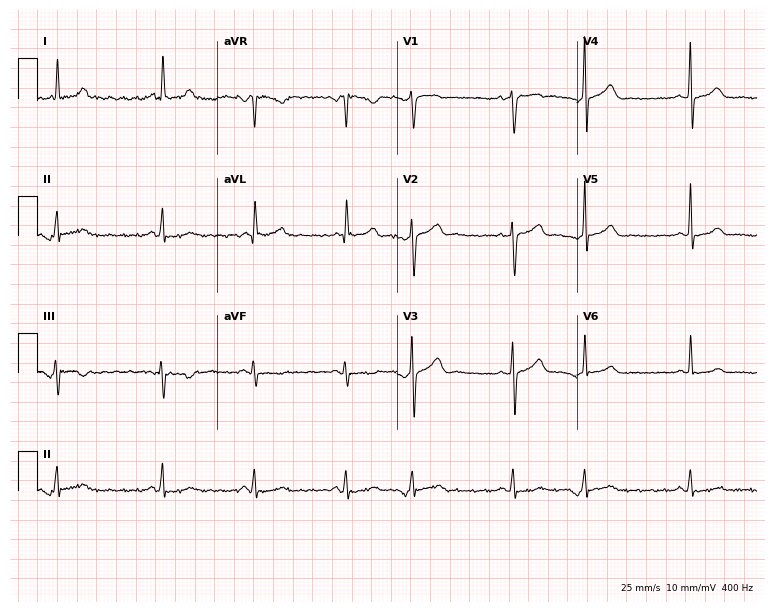
Electrocardiogram, a 62-year-old female. Of the six screened findings (first-degree AV block, right bundle branch block, left bundle branch block, sinus bradycardia, atrial fibrillation, sinus tachycardia), none is recorded.